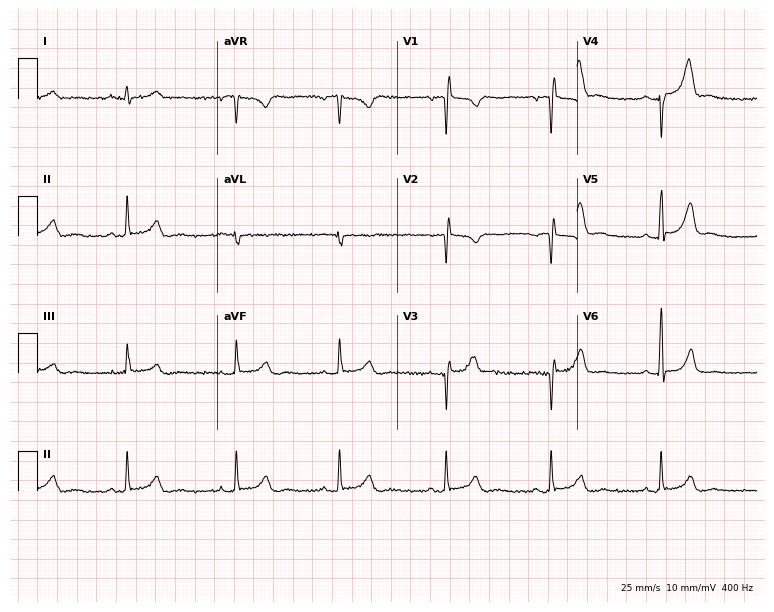
ECG (7.3-second recording at 400 Hz) — a 38-year-old male. Screened for six findings — first-degree AV block, right bundle branch block (RBBB), left bundle branch block (LBBB), sinus bradycardia, atrial fibrillation (AF), sinus tachycardia — none is recorded. Other findings, if any, are not listed.